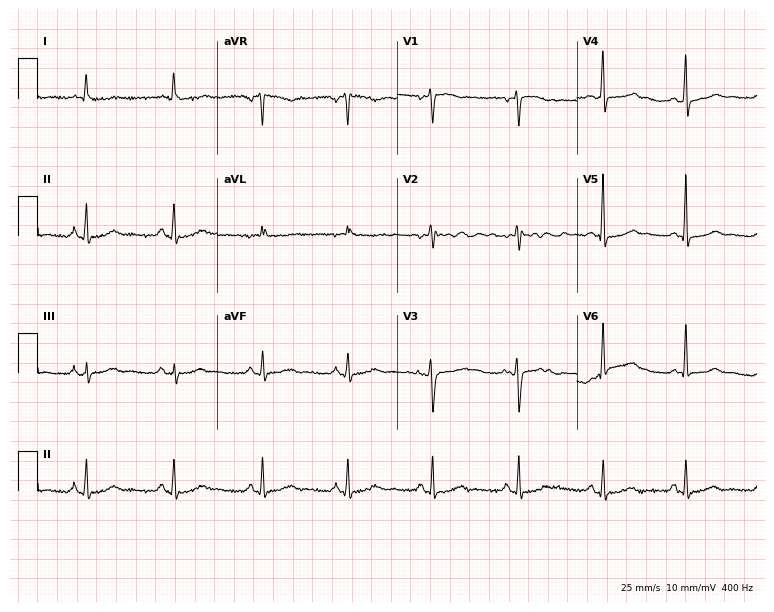
Resting 12-lead electrocardiogram. Patient: a woman, 34 years old. None of these six findings is recorded: first-degree AV block, right bundle branch block, left bundle branch block, sinus bradycardia, atrial fibrillation, sinus tachycardia. Only these six findings were labelled.